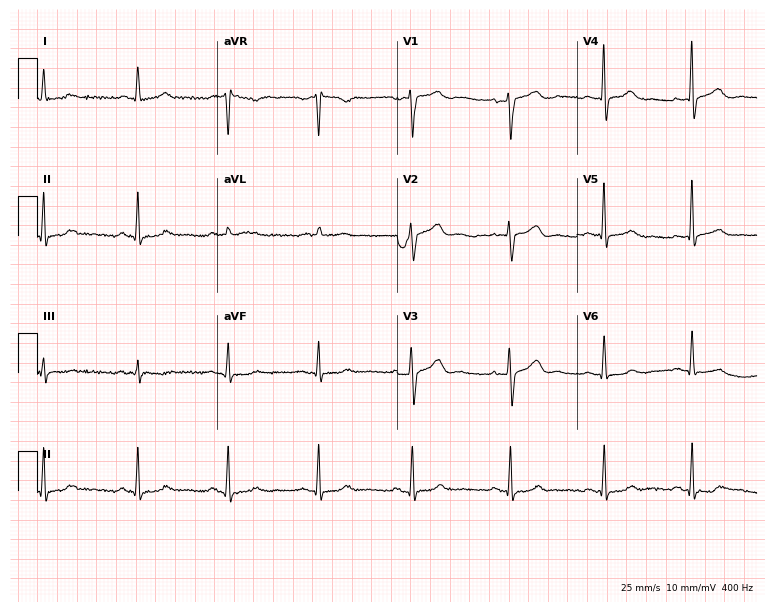
Standard 12-lead ECG recorded from a 63-year-old female (7.3-second recording at 400 Hz). Read as a normal ECG.